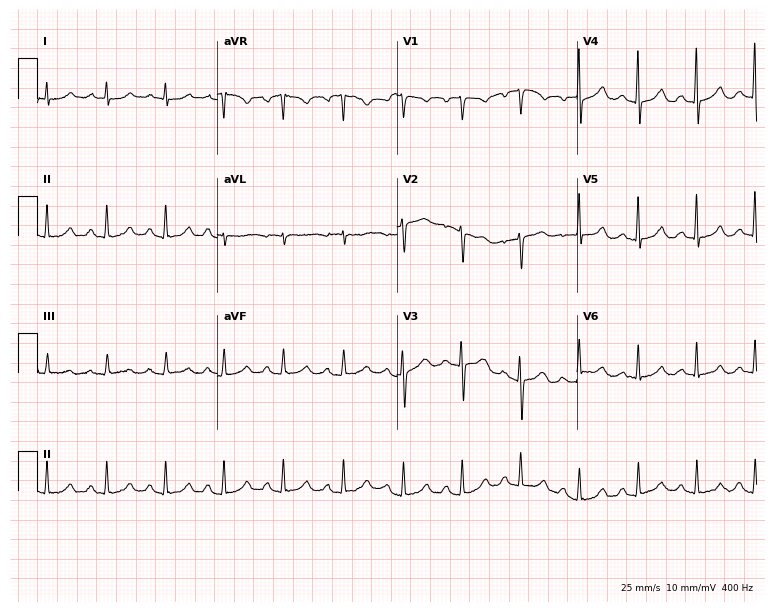
12-lead ECG from a female patient, 48 years old. Recorded interpretation: within normal limits.